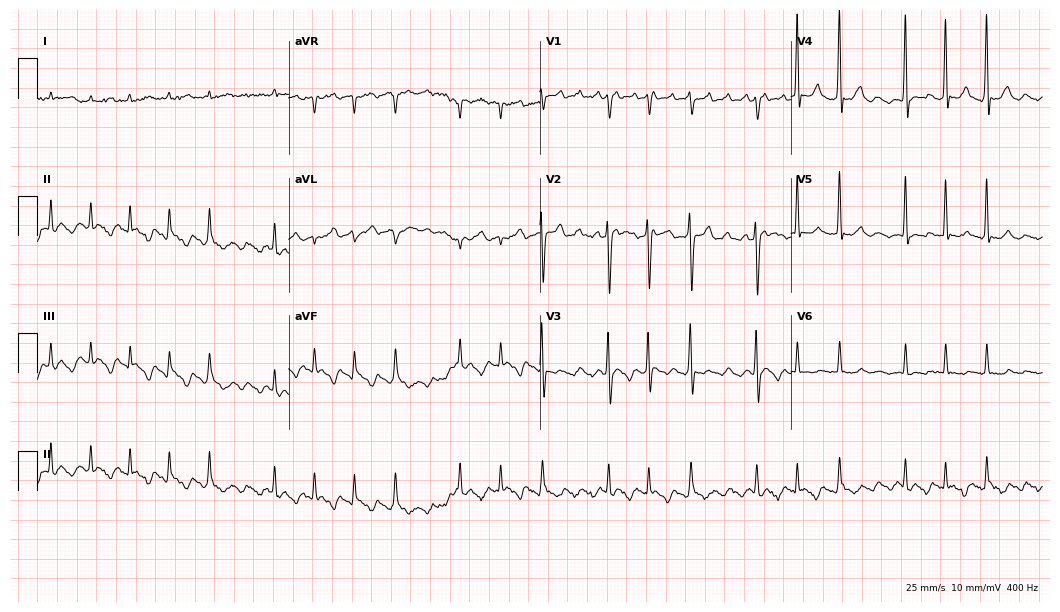
12-lead ECG (10.2-second recording at 400 Hz) from a 67-year-old male patient. Screened for six findings — first-degree AV block, right bundle branch block (RBBB), left bundle branch block (LBBB), sinus bradycardia, atrial fibrillation (AF), sinus tachycardia — none is recorded. Other findings, if any, are not listed.